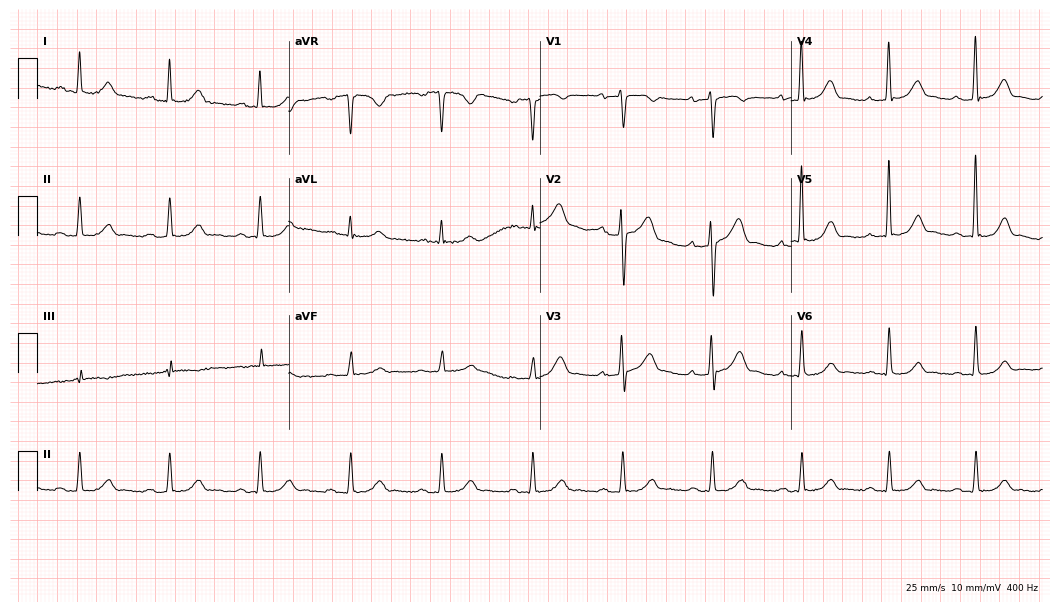
Electrocardiogram, a man, 53 years old. Overall reading on record: normal ECG.